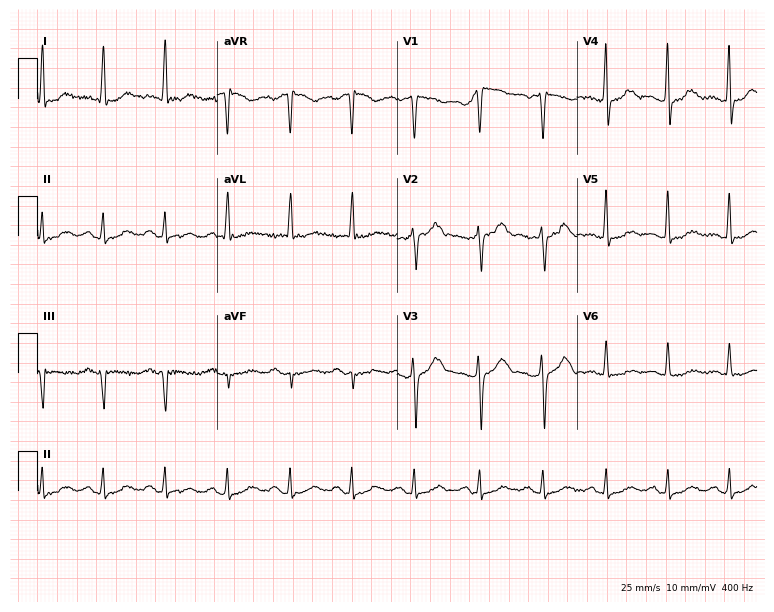
Standard 12-lead ECG recorded from a male patient, 49 years old. None of these six findings is recorded: first-degree AV block, right bundle branch block, left bundle branch block, sinus bradycardia, atrial fibrillation, sinus tachycardia. Findings outside these six are not listed.